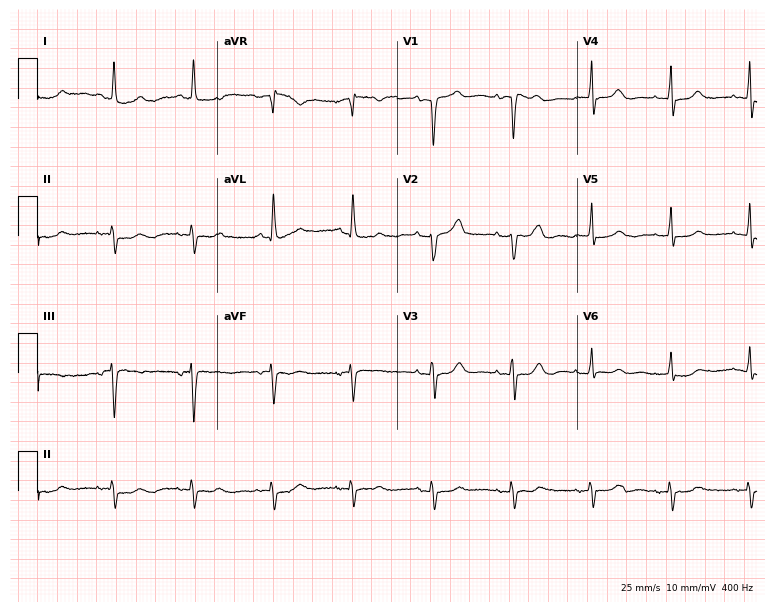
Electrocardiogram, a female, 83 years old. Of the six screened findings (first-degree AV block, right bundle branch block (RBBB), left bundle branch block (LBBB), sinus bradycardia, atrial fibrillation (AF), sinus tachycardia), none is recorded. Findings outside these six are not listed.